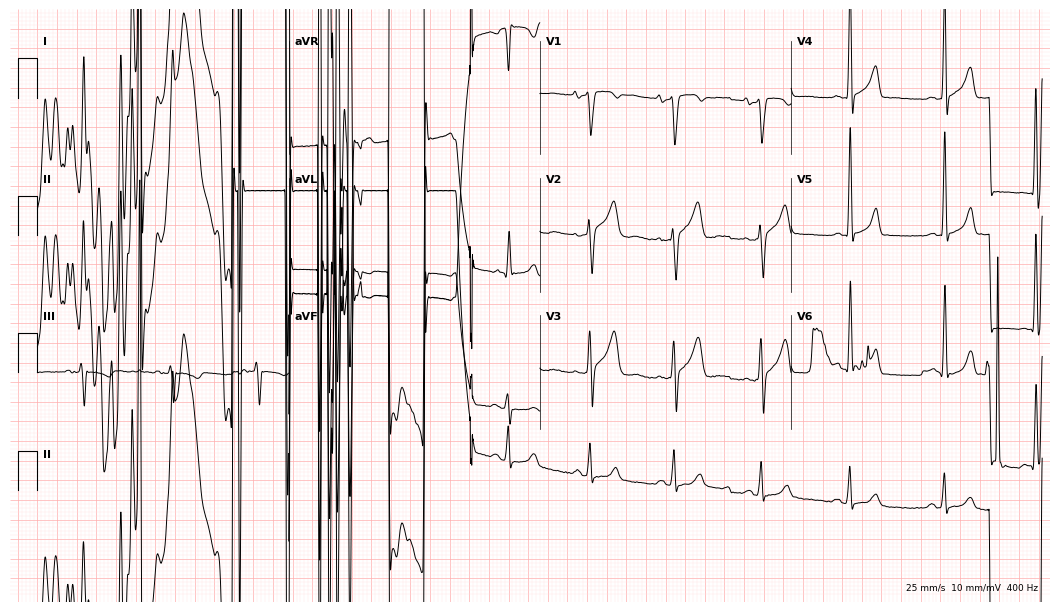
12-lead ECG (10.2-second recording at 400 Hz) from a male patient, 48 years old. Screened for six findings — first-degree AV block, right bundle branch block, left bundle branch block, sinus bradycardia, atrial fibrillation, sinus tachycardia — none is recorded. Findings outside these six are not listed.